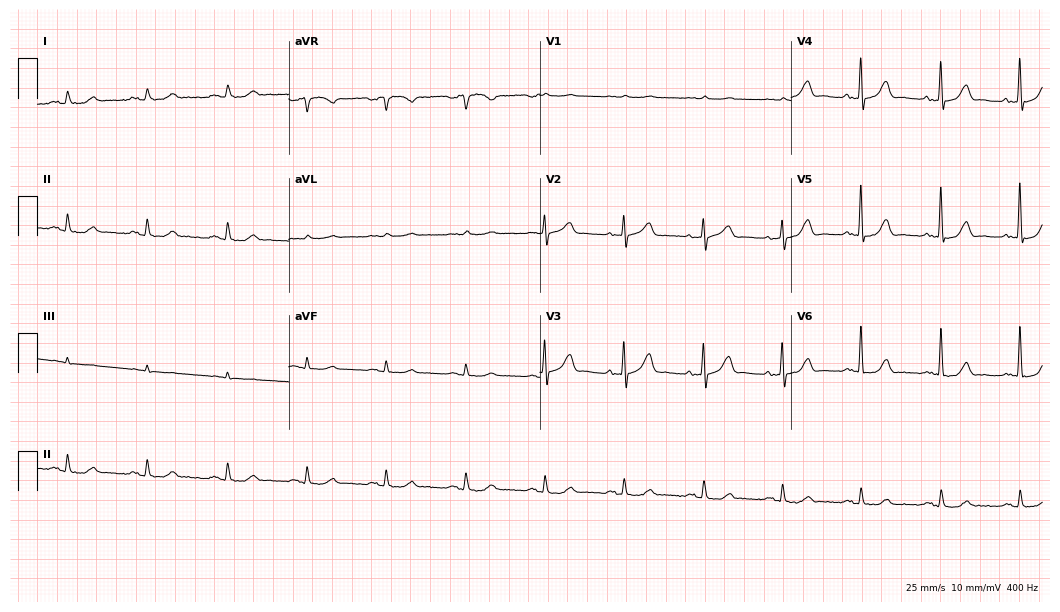
Resting 12-lead electrocardiogram (10.2-second recording at 400 Hz). Patient: an 82-year-old man. Read as a normal ECG.